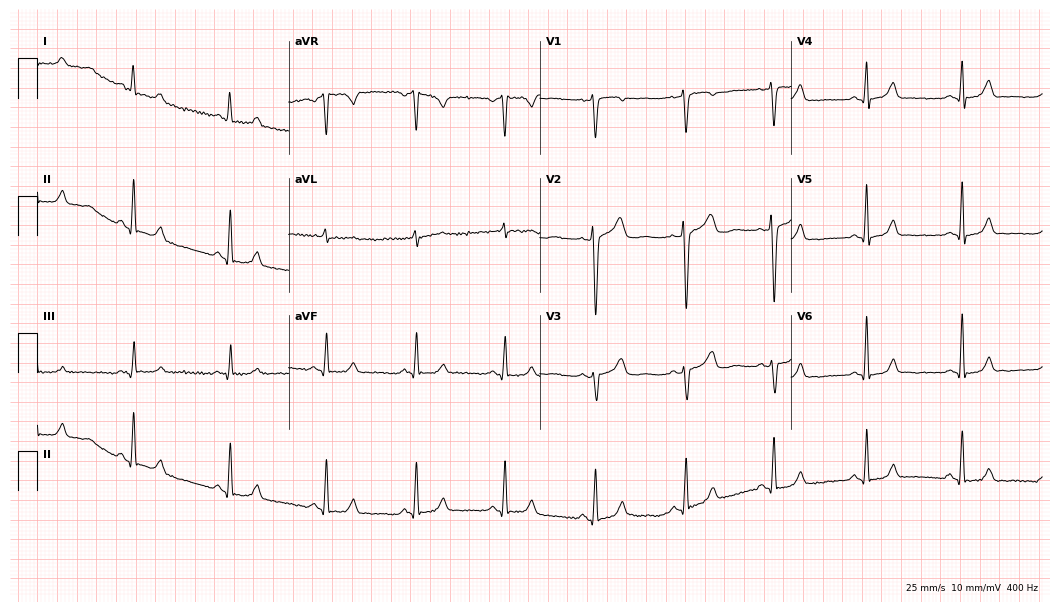
12-lead ECG from a 39-year-old woman (10.2-second recording at 400 Hz). Recorded interpretation: within normal limits.